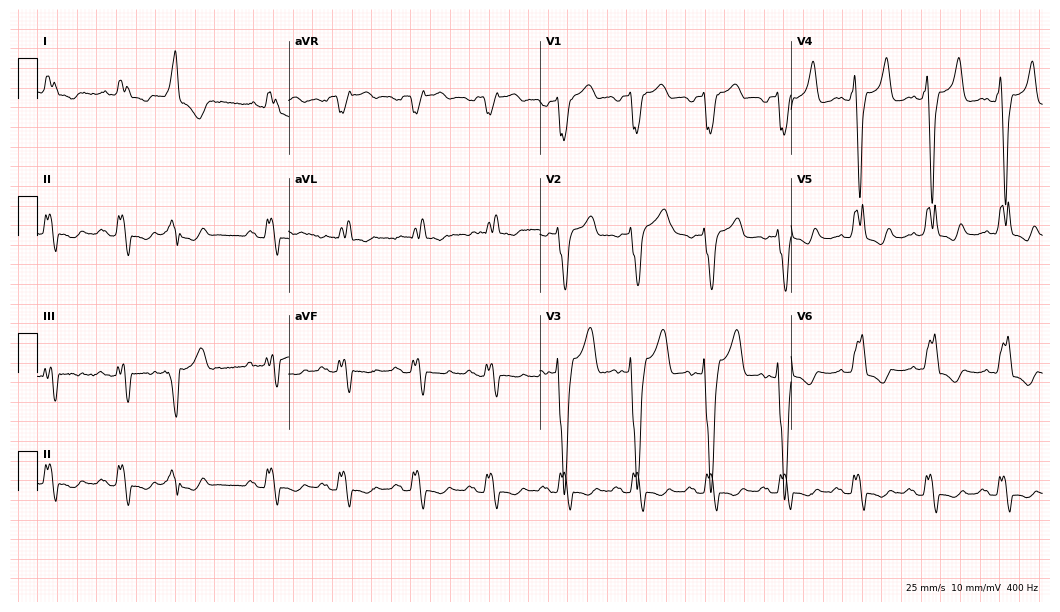
Resting 12-lead electrocardiogram. Patient: a 75-year-old male. The tracing shows left bundle branch block (LBBB).